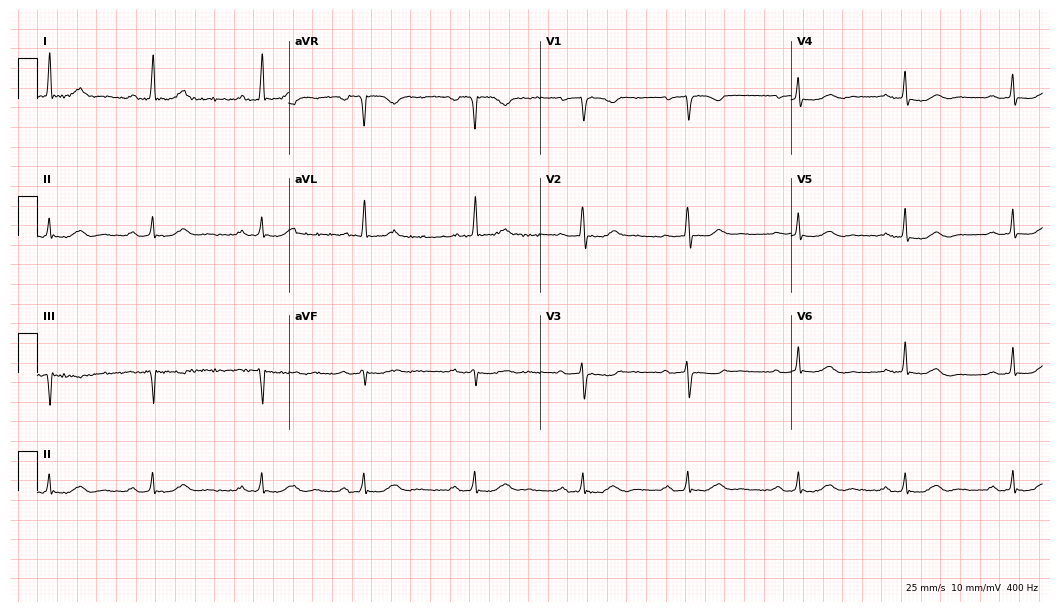
12-lead ECG from a 67-year-old female patient. No first-degree AV block, right bundle branch block, left bundle branch block, sinus bradycardia, atrial fibrillation or sinus tachycardia recorded for this tracing.